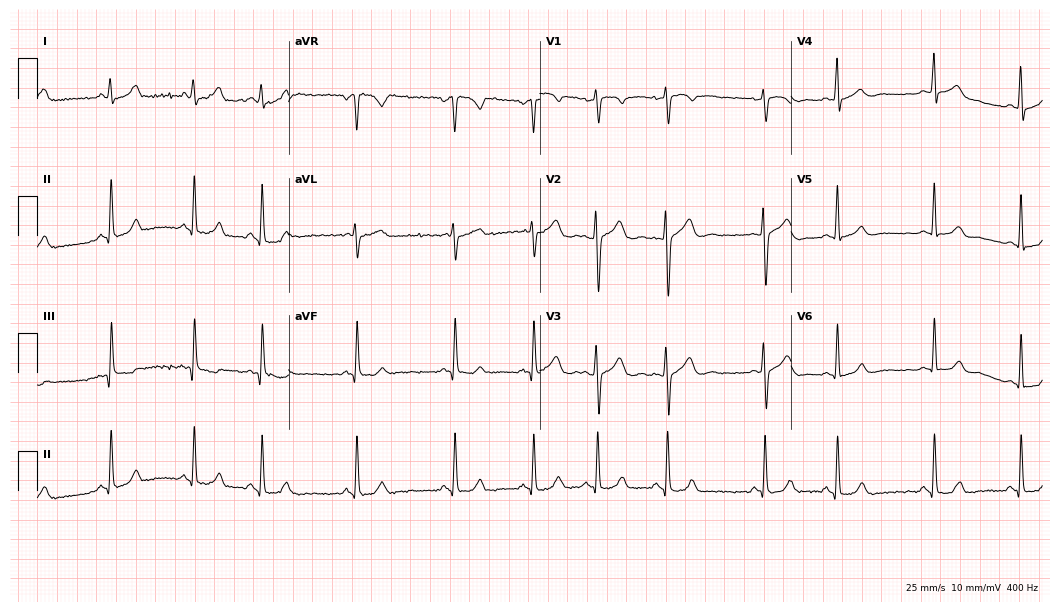
12-lead ECG from a 19-year-old woman (10.2-second recording at 400 Hz). Recorded interpretation: within normal limits.